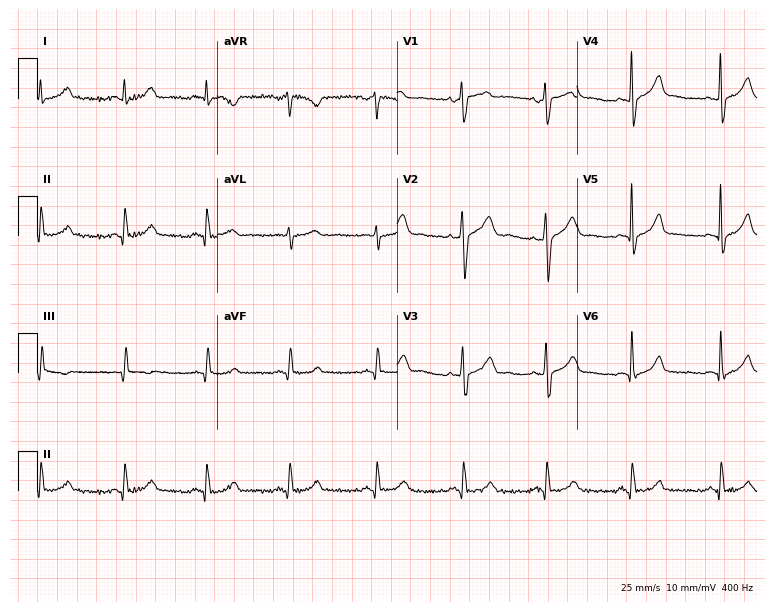
12-lead ECG from a male, 46 years old (7.3-second recording at 400 Hz). Recorded interpretation: within normal limits.